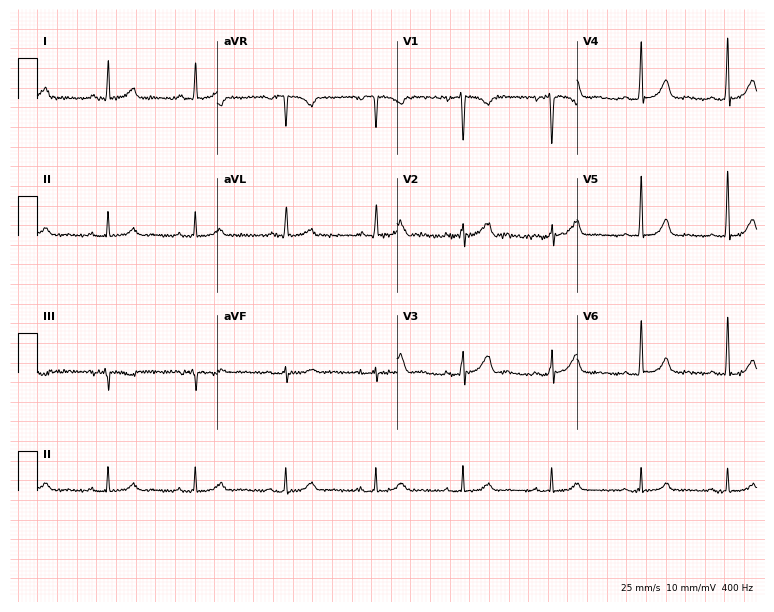
12-lead ECG (7.3-second recording at 400 Hz) from a 45-year-old female patient. Labelled as a normal ECG.